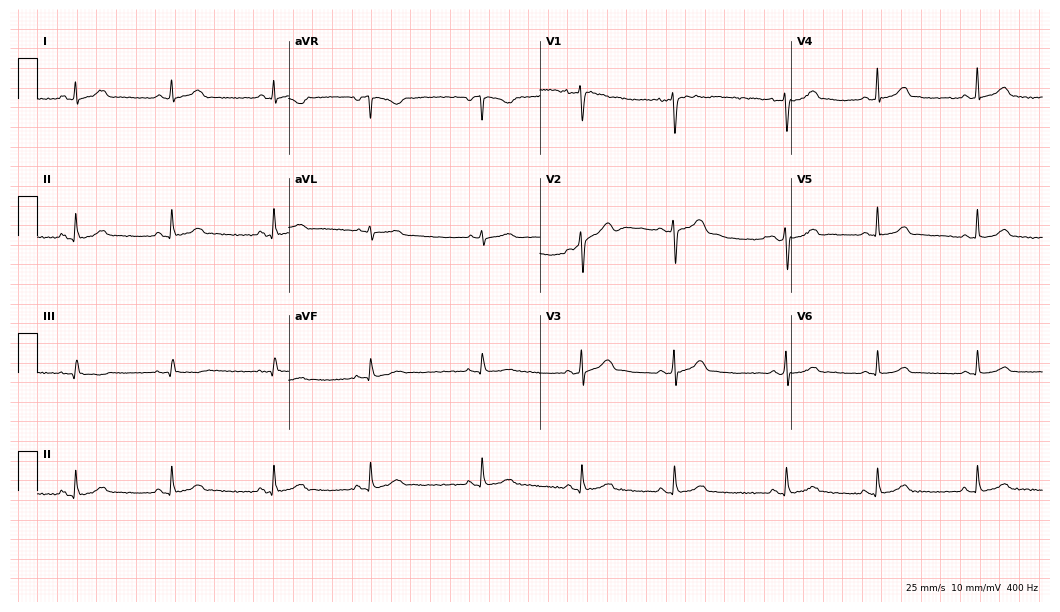
12-lead ECG (10.2-second recording at 400 Hz) from a 32-year-old male. Labelled as a normal ECG.